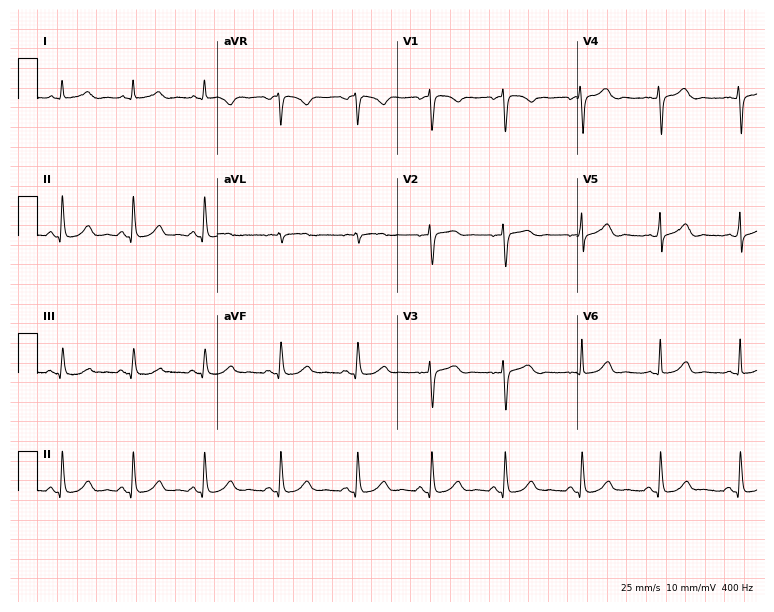
Electrocardiogram, a woman, 47 years old. Overall reading on record: normal ECG.